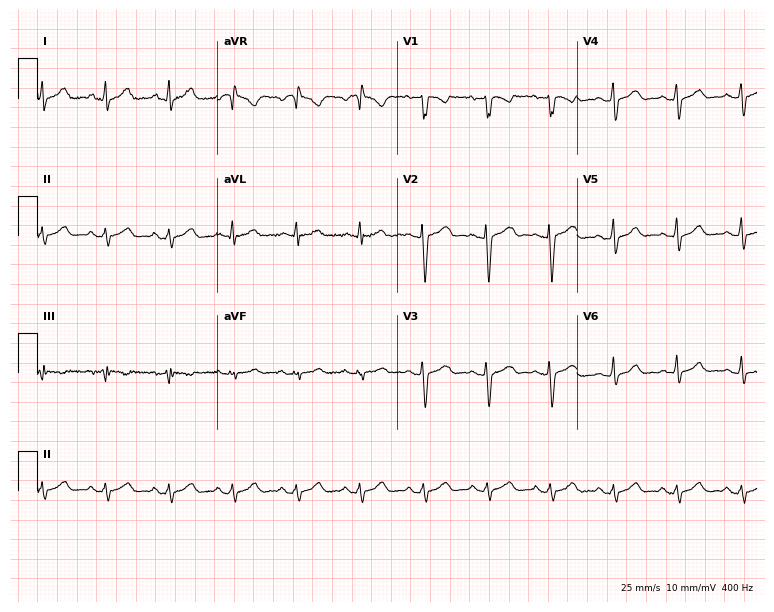
Resting 12-lead electrocardiogram. Patient: a 43-year-old woman. Read as a normal ECG.